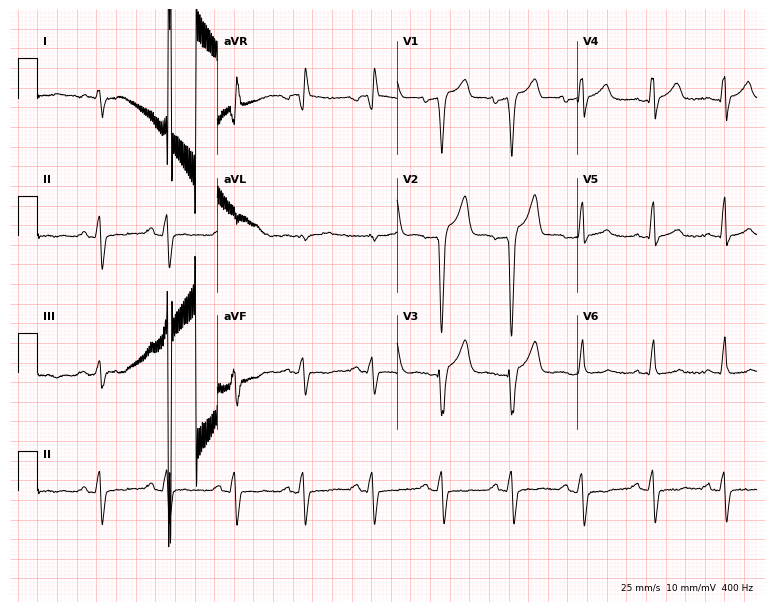
12-lead ECG from a 58-year-old male. Screened for six findings — first-degree AV block, right bundle branch block, left bundle branch block, sinus bradycardia, atrial fibrillation, sinus tachycardia — none is recorded.